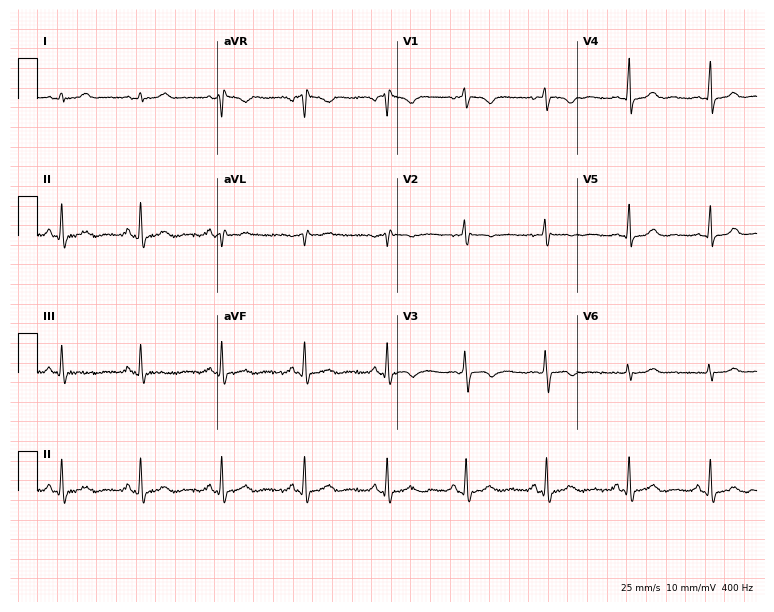
Electrocardiogram, a 22-year-old female. Overall reading on record: normal ECG.